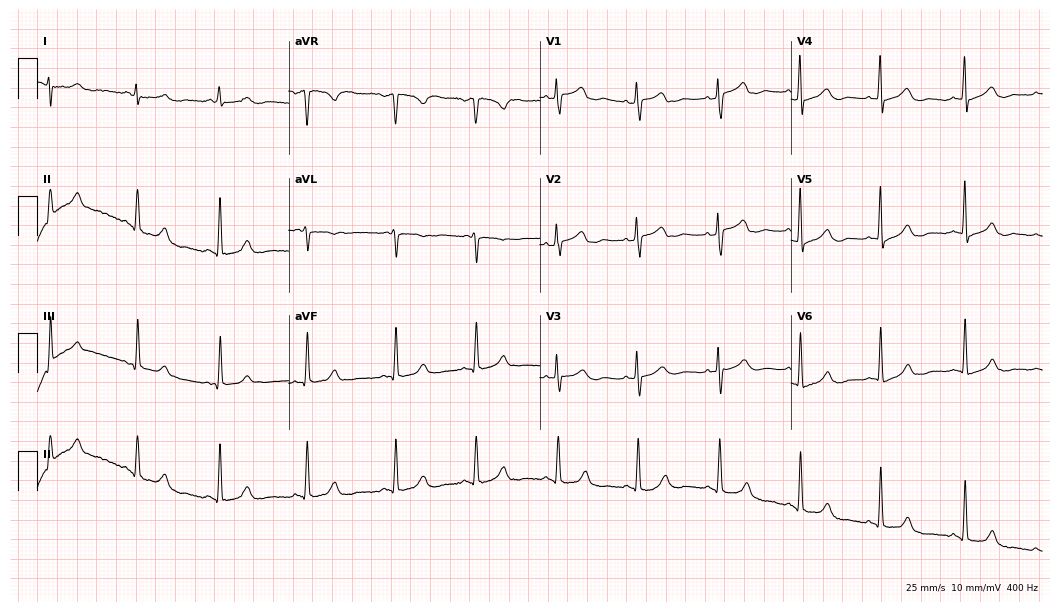
Resting 12-lead electrocardiogram (10.2-second recording at 400 Hz). Patient: a female, 39 years old. None of these six findings is recorded: first-degree AV block, right bundle branch block, left bundle branch block, sinus bradycardia, atrial fibrillation, sinus tachycardia. Only these six findings were labelled.